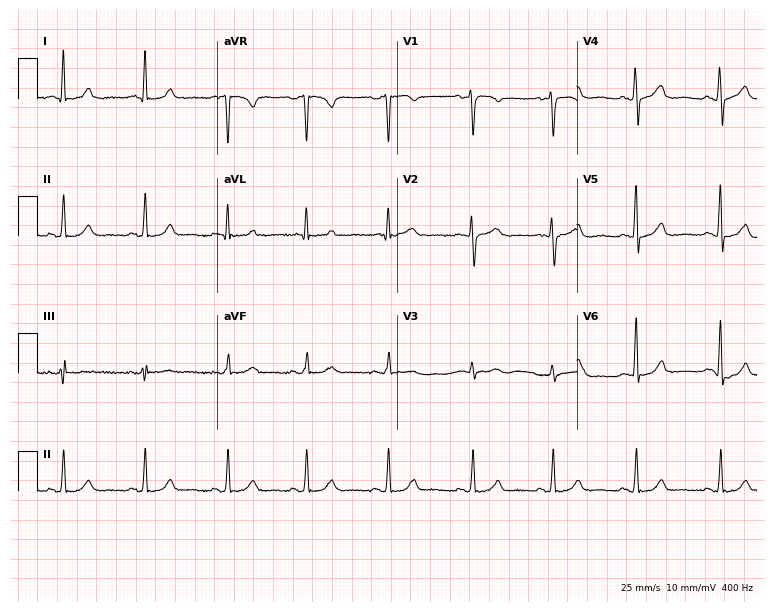
Electrocardiogram (7.3-second recording at 400 Hz), a 49-year-old woman. Of the six screened findings (first-degree AV block, right bundle branch block, left bundle branch block, sinus bradycardia, atrial fibrillation, sinus tachycardia), none is recorded. Only these six findings were labelled.